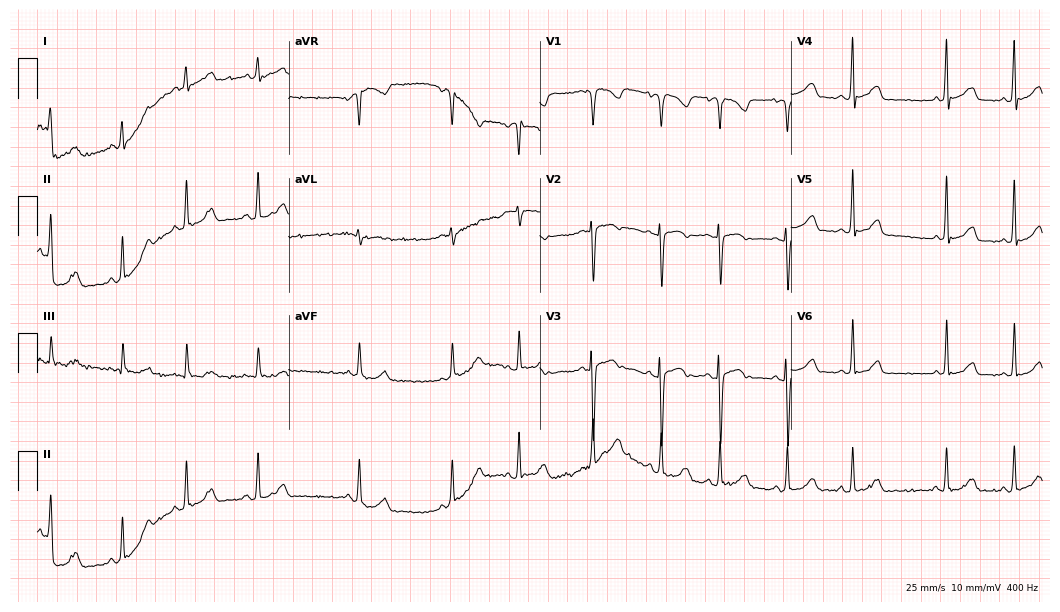
Standard 12-lead ECG recorded from a 67-year-old male patient. Read as a normal ECG.